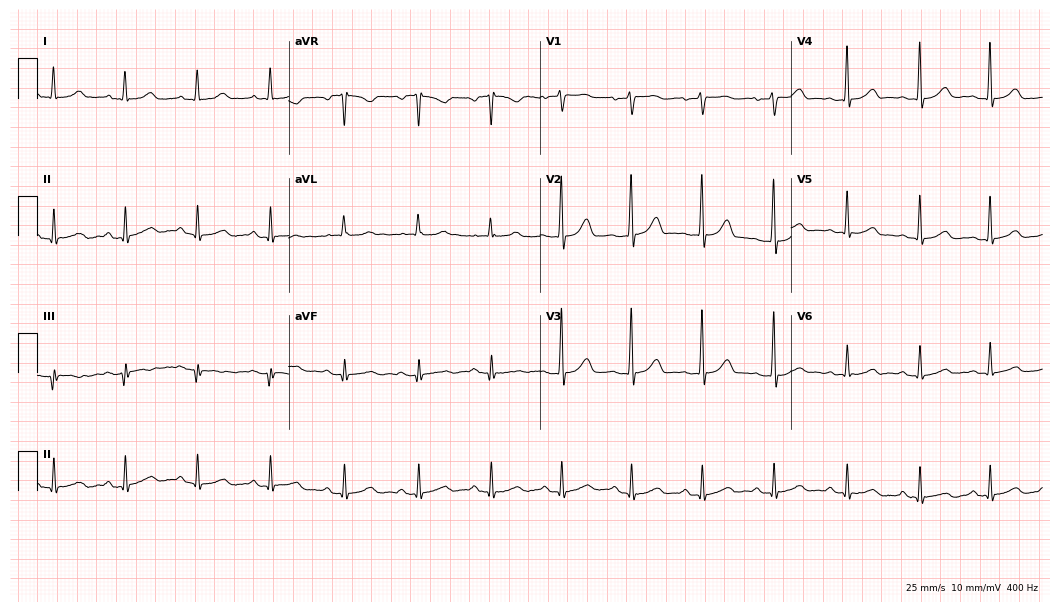
Resting 12-lead electrocardiogram (10.2-second recording at 400 Hz). Patient: a 31-year-old female. Read as a normal ECG.